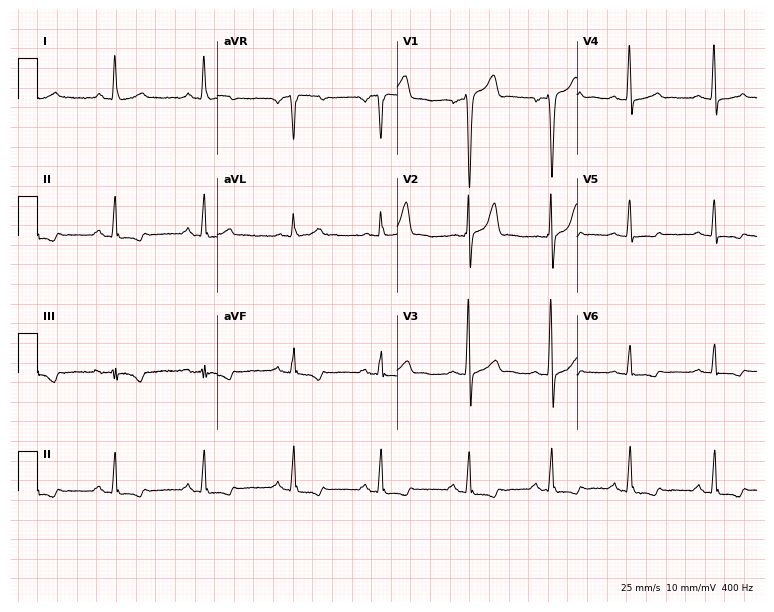
12-lead ECG from a man, 44 years old (7.3-second recording at 400 Hz). No first-degree AV block, right bundle branch block (RBBB), left bundle branch block (LBBB), sinus bradycardia, atrial fibrillation (AF) or sinus tachycardia recorded for this tracing. Findings outside these six are not listed.